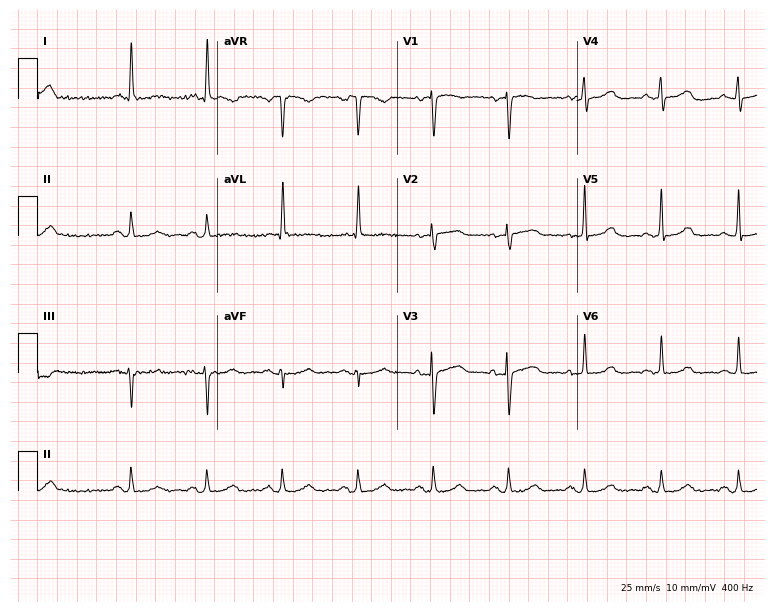
ECG — an 85-year-old woman. Labelled as a normal ECG.